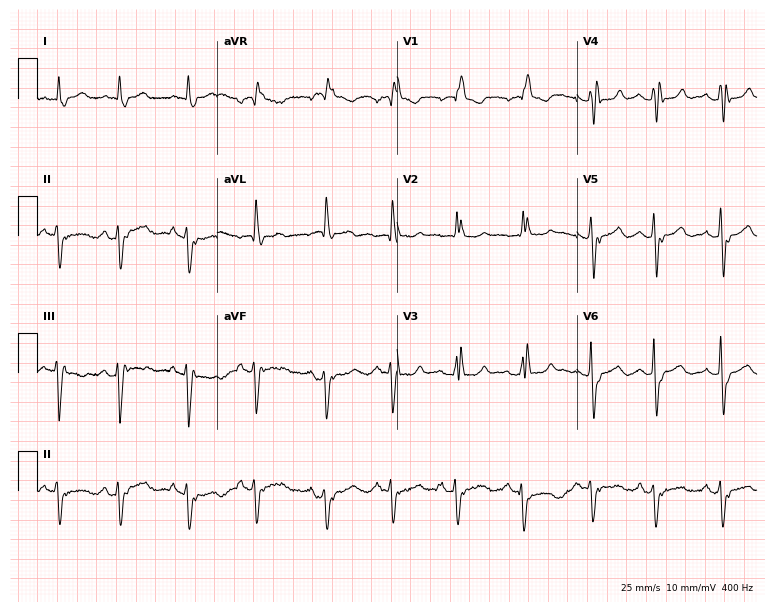
12-lead ECG (7.3-second recording at 400 Hz) from an 83-year-old woman. Findings include right bundle branch block (RBBB).